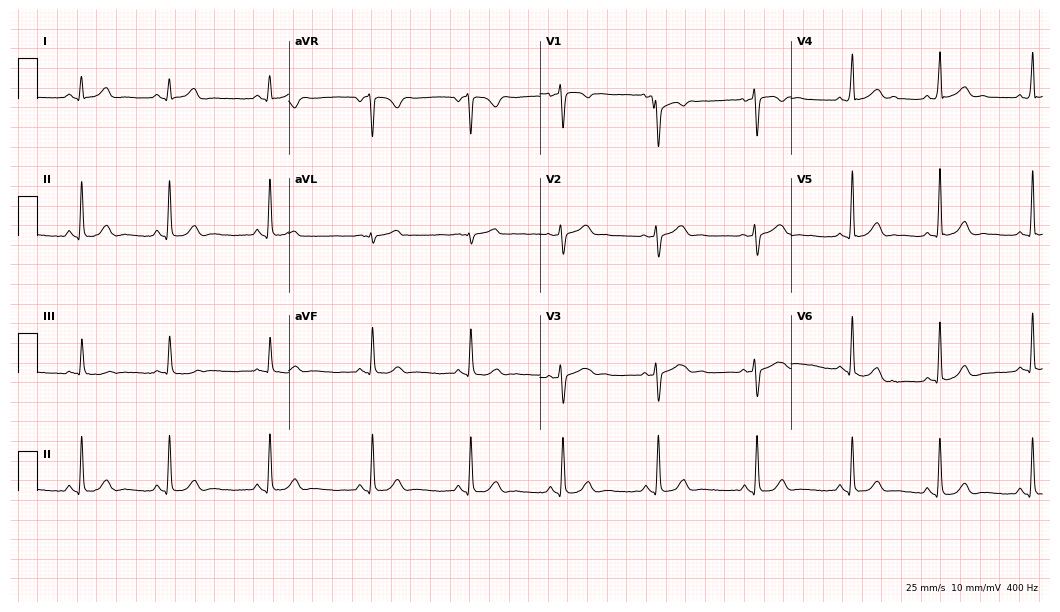
12-lead ECG (10.2-second recording at 400 Hz) from a 24-year-old woman. Labelled as a normal ECG.